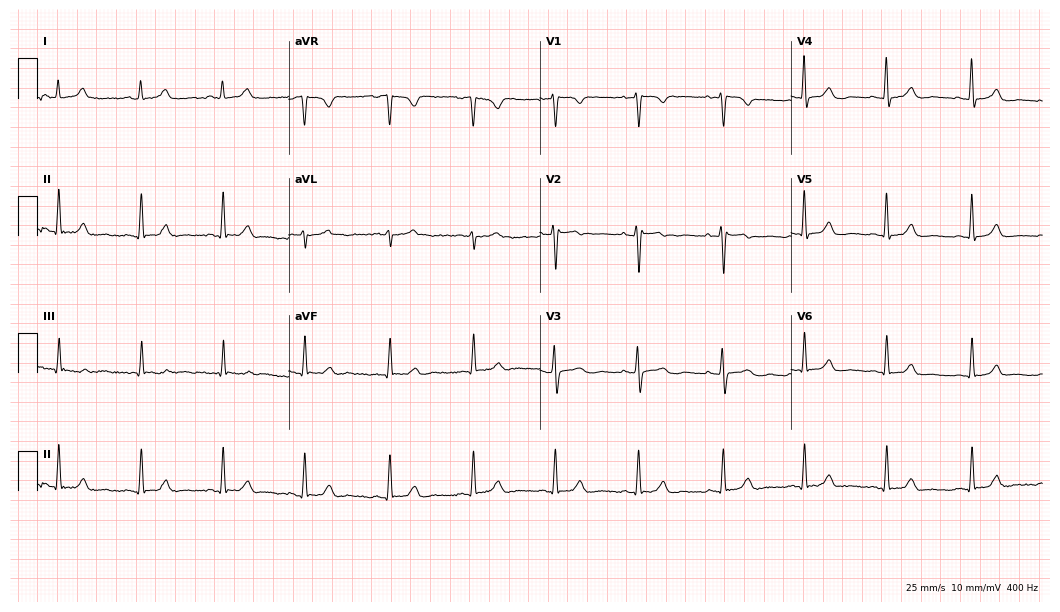
12-lead ECG from a 46-year-old female patient (10.2-second recording at 400 Hz). No first-degree AV block, right bundle branch block (RBBB), left bundle branch block (LBBB), sinus bradycardia, atrial fibrillation (AF) or sinus tachycardia recorded for this tracing. Only these six findings were labelled.